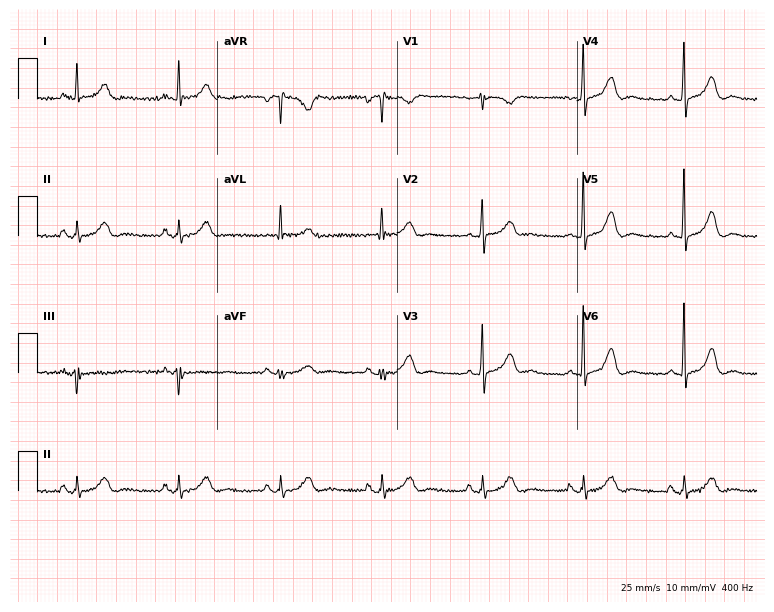
Standard 12-lead ECG recorded from a female patient, 74 years old. None of these six findings is recorded: first-degree AV block, right bundle branch block, left bundle branch block, sinus bradycardia, atrial fibrillation, sinus tachycardia. Other findings, if any, are not listed.